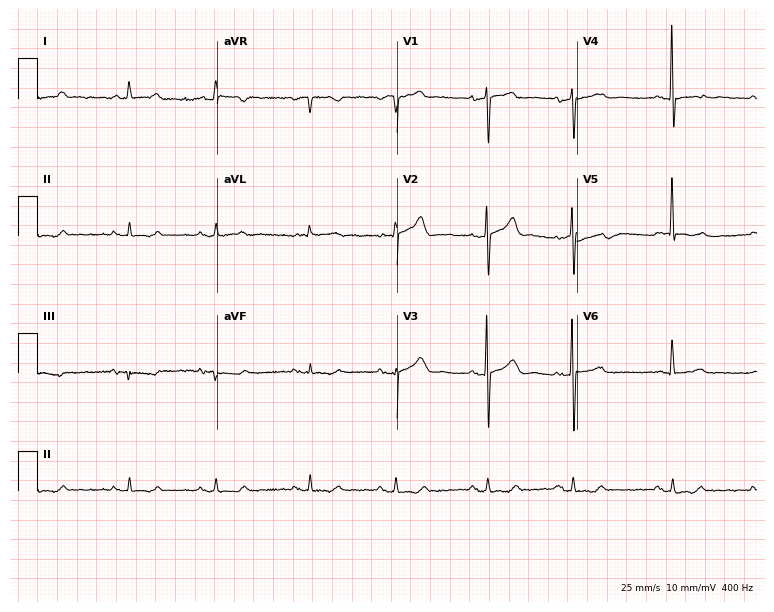
Standard 12-lead ECG recorded from a female patient, 83 years old. Read as a normal ECG.